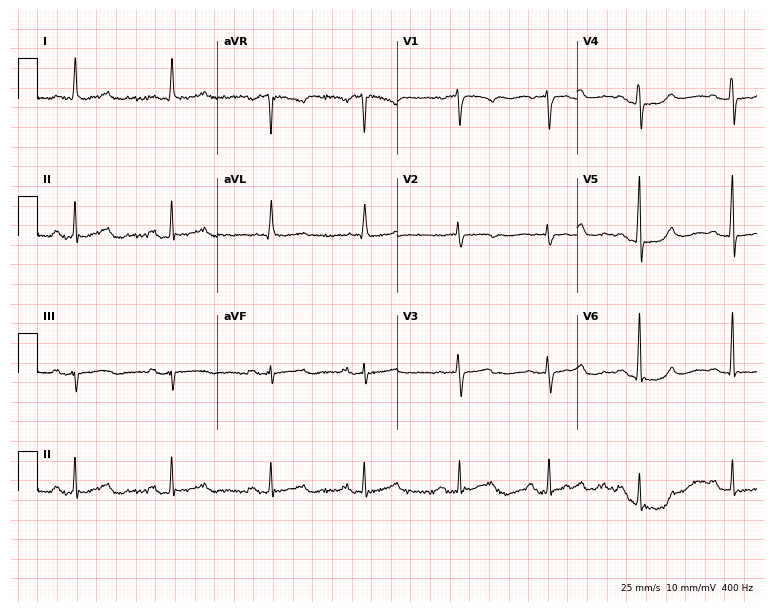
12-lead ECG from a 68-year-old female patient. Findings include first-degree AV block.